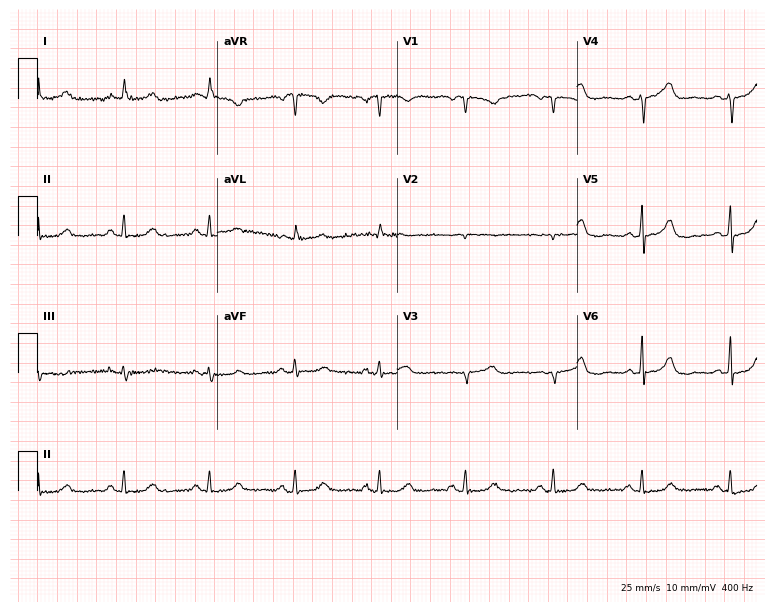
Electrocardiogram, a female patient, 68 years old. Of the six screened findings (first-degree AV block, right bundle branch block, left bundle branch block, sinus bradycardia, atrial fibrillation, sinus tachycardia), none is recorded.